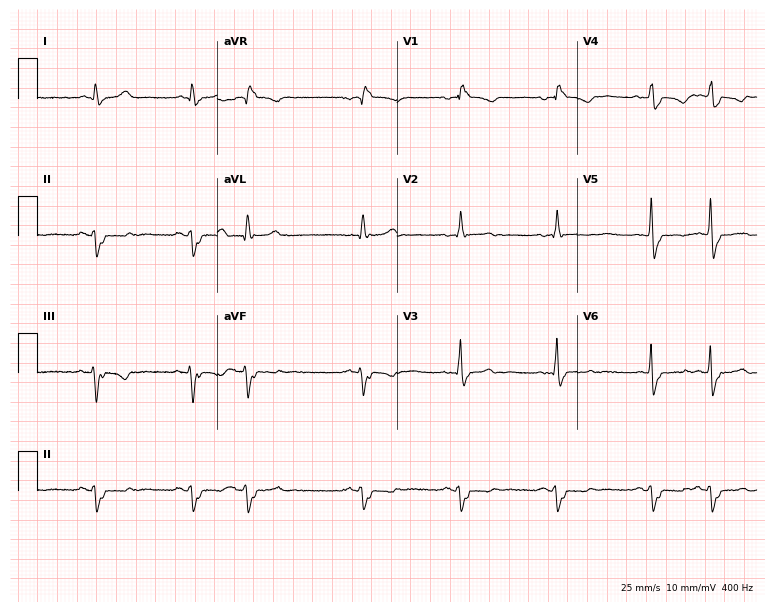
ECG — a 74-year-old male. Findings include right bundle branch block.